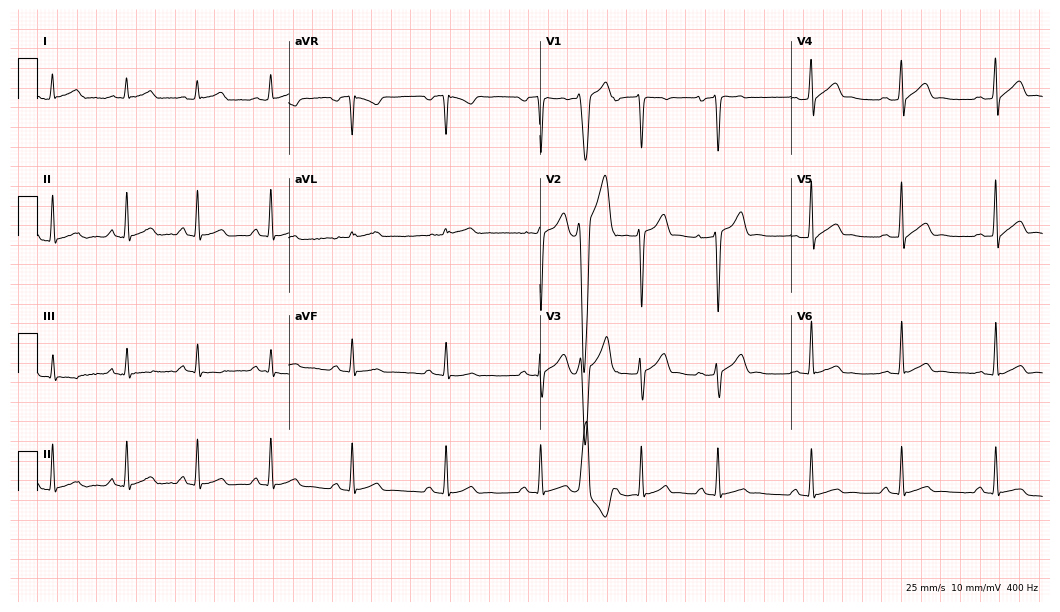
12-lead ECG (10.2-second recording at 400 Hz) from a male patient, 32 years old. Screened for six findings — first-degree AV block, right bundle branch block, left bundle branch block, sinus bradycardia, atrial fibrillation, sinus tachycardia — none is recorded. Other findings, if any, are not listed.